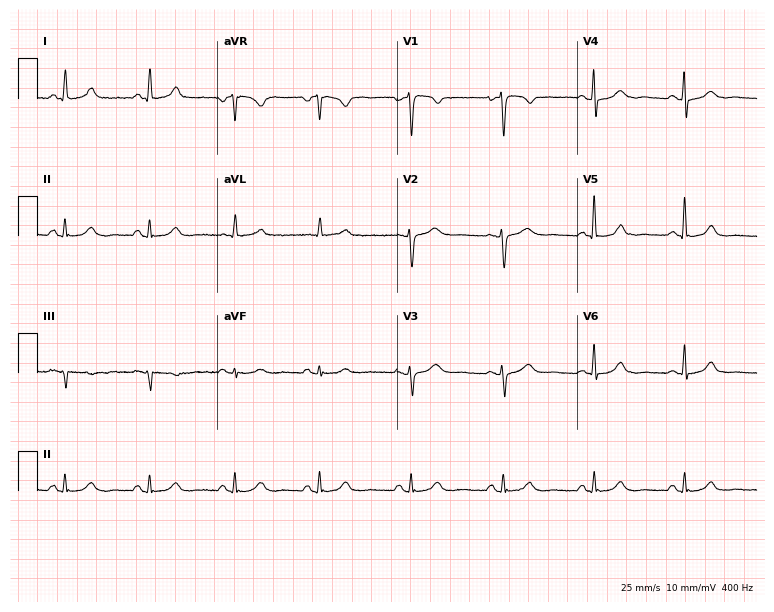
12-lead ECG (7.3-second recording at 400 Hz) from a woman, 48 years old. Labelled as a normal ECG.